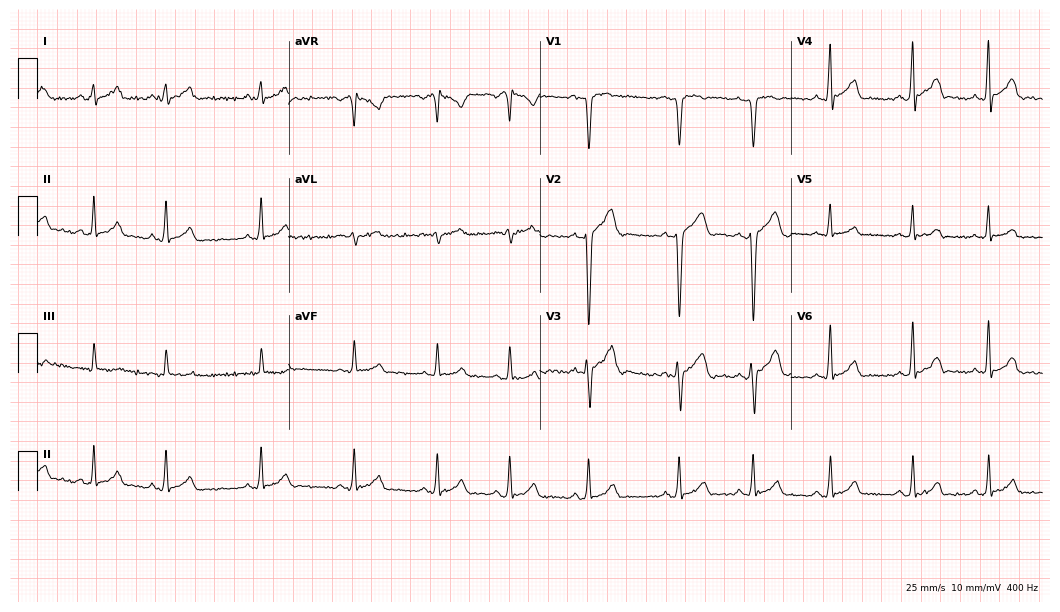
Resting 12-lead electrocardiogram. Patient: a male, 18 years old. Read as a normal ECG.